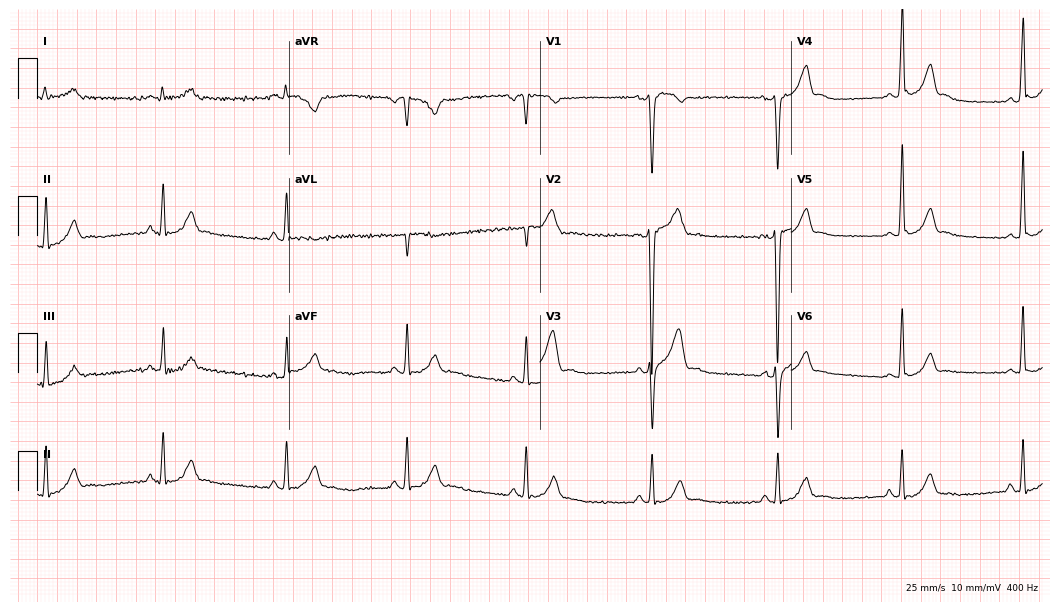
12-lead ECG from a 34-year-old male patient (10.2-second recording at 400 Hz). Shows sinus bradycardia (a sinus rate of 50 beats per minute or less).